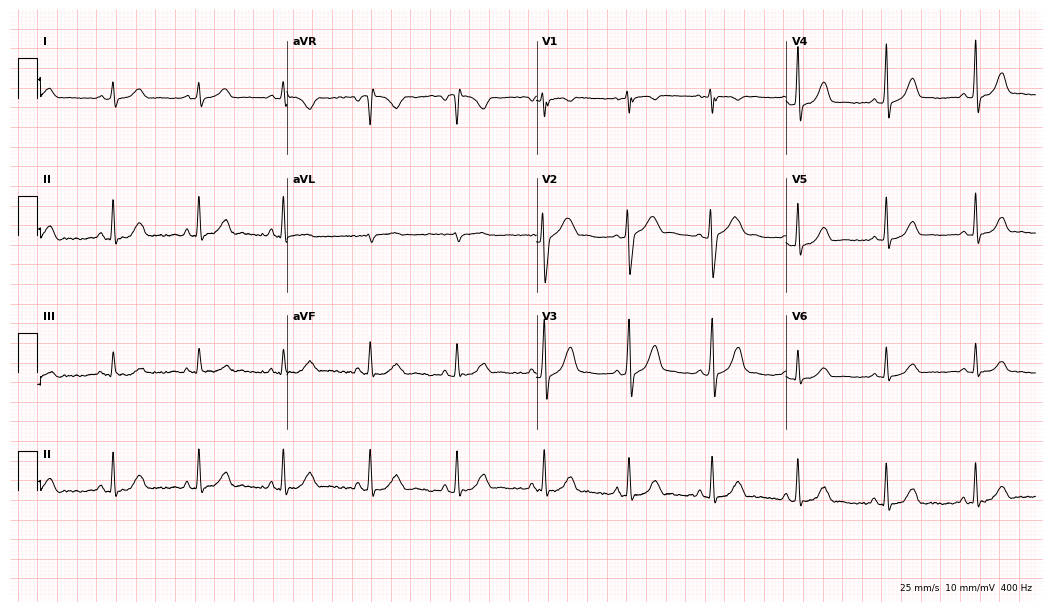
12-lead ECG from a female patient, 38 years old (10.2-second recording at 400 Hz). Recorded interpretation: within normal limits.